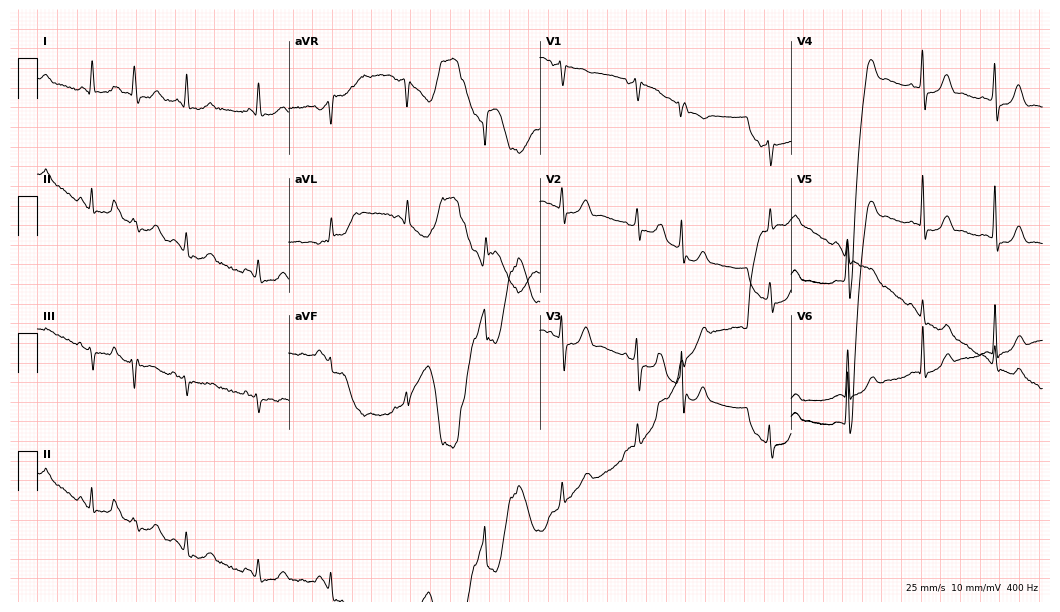
12-lead ECG from a 66-year-old female patient. Screened for six findings — first-degree AV block, right bundle branch block, left bundle branch block, sinus bradycardia, atrial fibrillation, sinus tachycardia — none is recorded. Only these six findings were labelled.